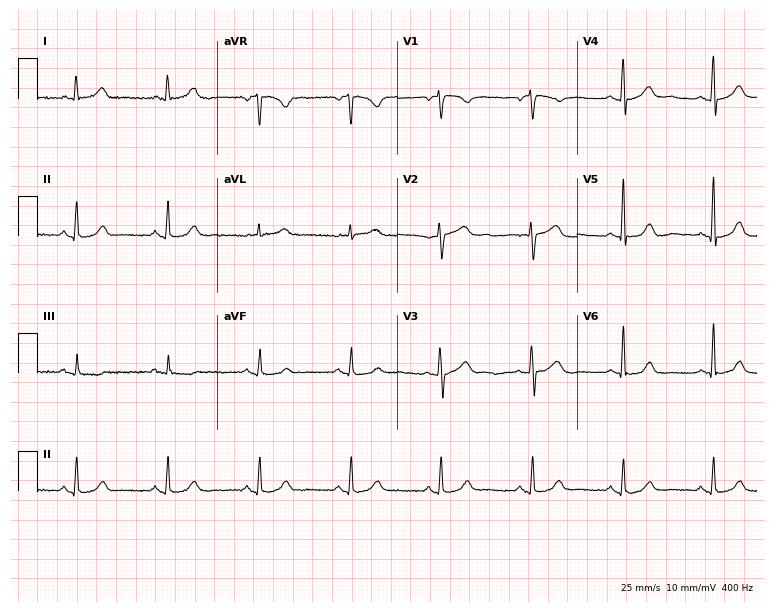
Electrocardiogram, a female, 63 years old. Overall reading on record: normal ECG.